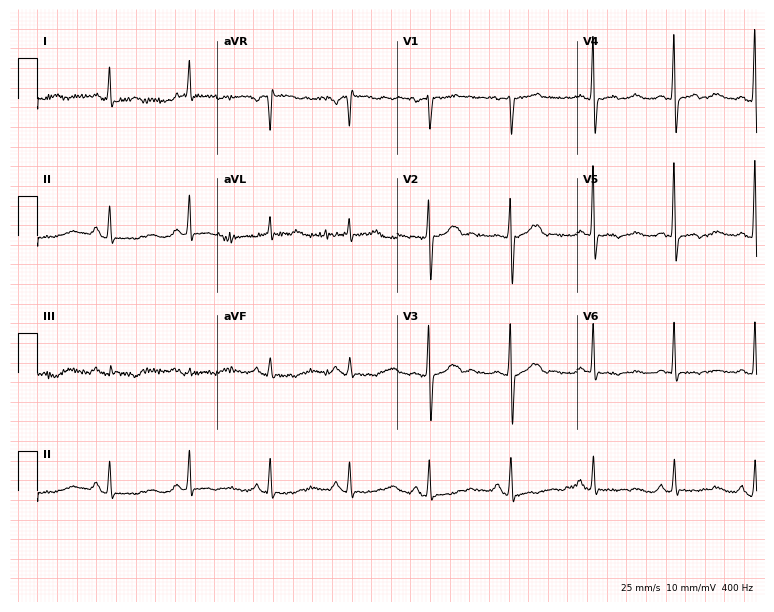
Electrocardiogram, a female patient, 78 years old. Of the six screened findings (first-degree AV block, right bundle branch block (RBBB), left bundle branch block (LBBB), sinus bradycardia, atrial fibrillation (AF), sinus tachycardia), none is recorded. Only these six findings were labelled.